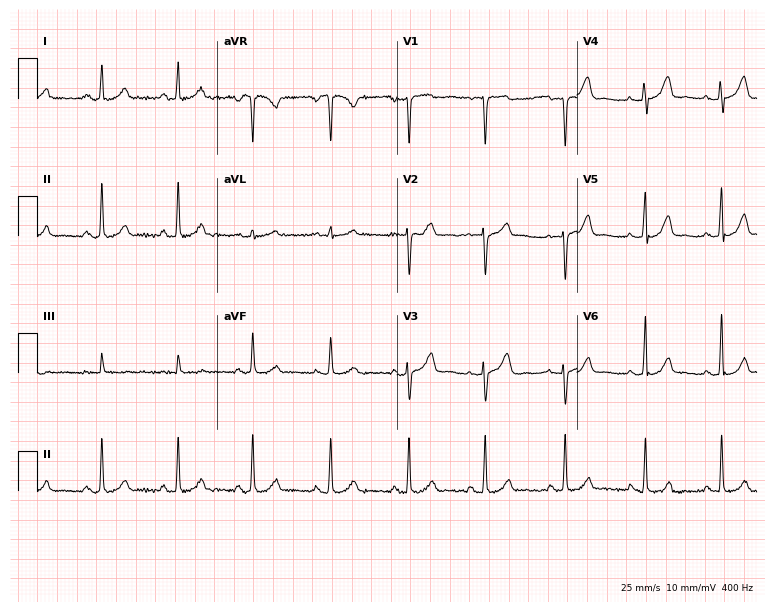
Resting 12-lead electrocardiogram (7.3-second recording at 400 Hz). Patient: a 42-year-old female. None of these six findings is recorded: first-degree AV block, right bundle branch block, left bundle branch block, sinus bradycardia, atrial fibrillation, sinus tachycardia.